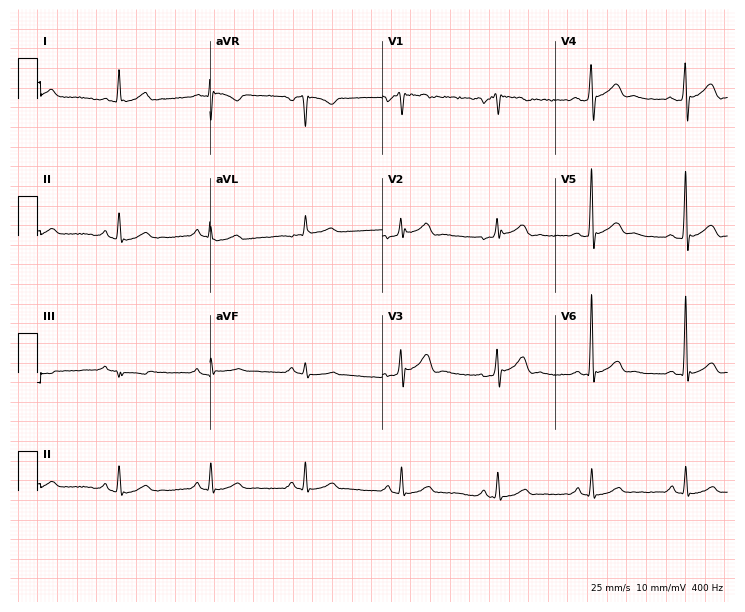
Resting 12-lead electrocardiogram (7-second recording at 400 Hz). Patient: a 52-year-old male. Read as a normal ECG.